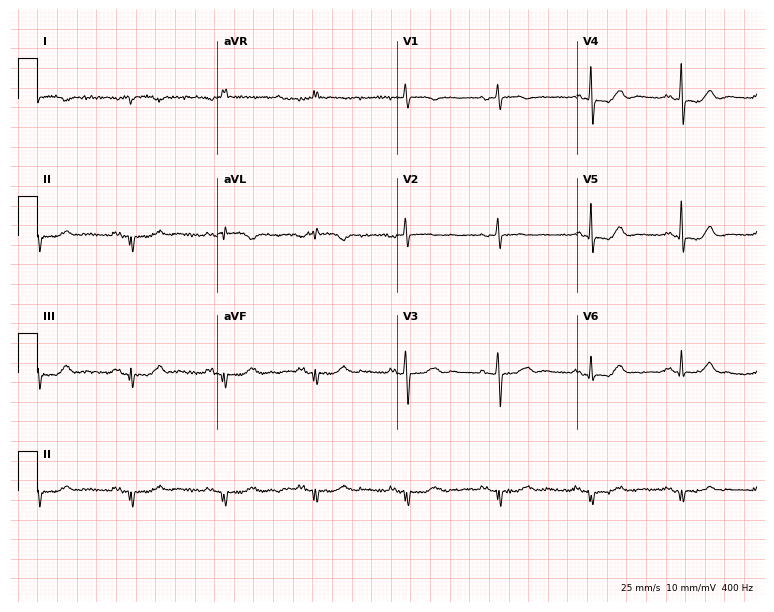
12-lead ECG from an 82-year-old female patient (7.3-second recording at 400 Hz). No first-degree AV block, right bundle branch block (RBBB), left bundle branch block (LBBB), sinus bradycardia, atrial fibrillation (AF) or sinus tachycardia recorded for this tracing.